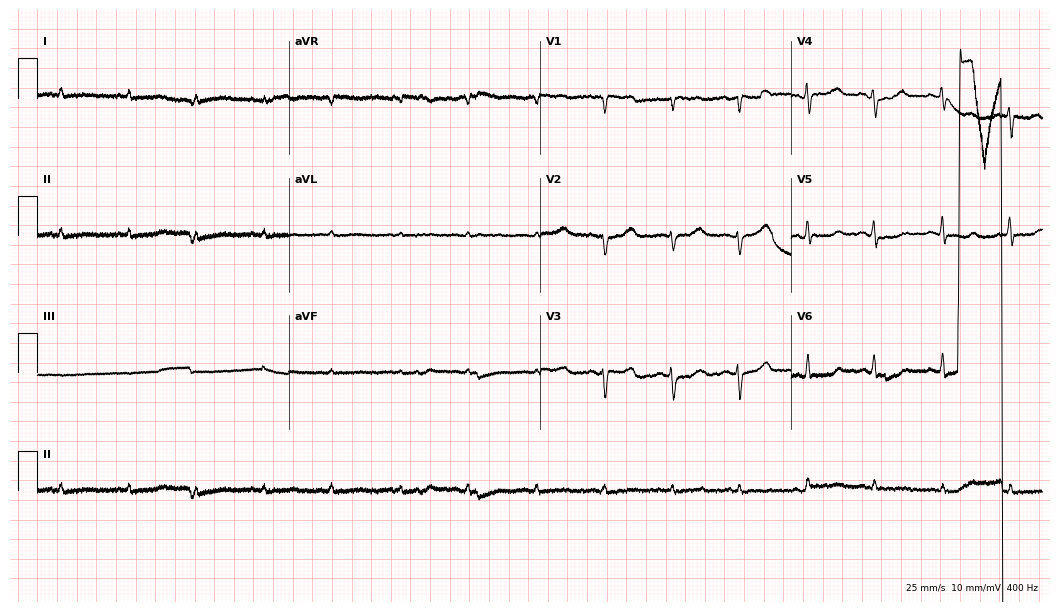
12-lead ECG (10.2-second recording at 400 Hz) from a 50-year-old female. Screened for six findings — first-degree AV block, right bundle branch block, left bundle branch block, sinus bradycardia, atrial fibrillation, sinus tachycardia — none is recorded. Findings outside these six are not listed.